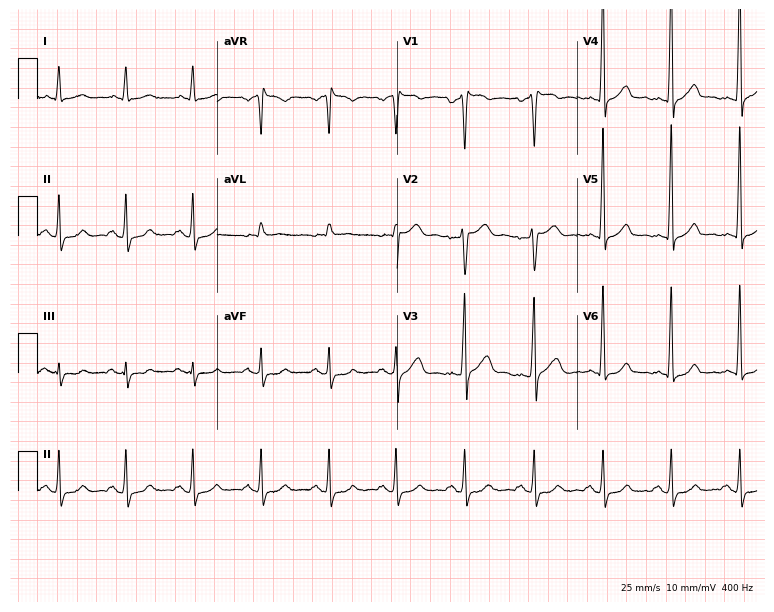
12-lead ECG (7.3-second recording at 400 Hz) from a 57-year-old man. Screened for six findings — first-degree AV block, right bundle branch block, left bundle branch block, sinus bradycardia, atrial fibrillation, sinus tachycardia — none is recorded.